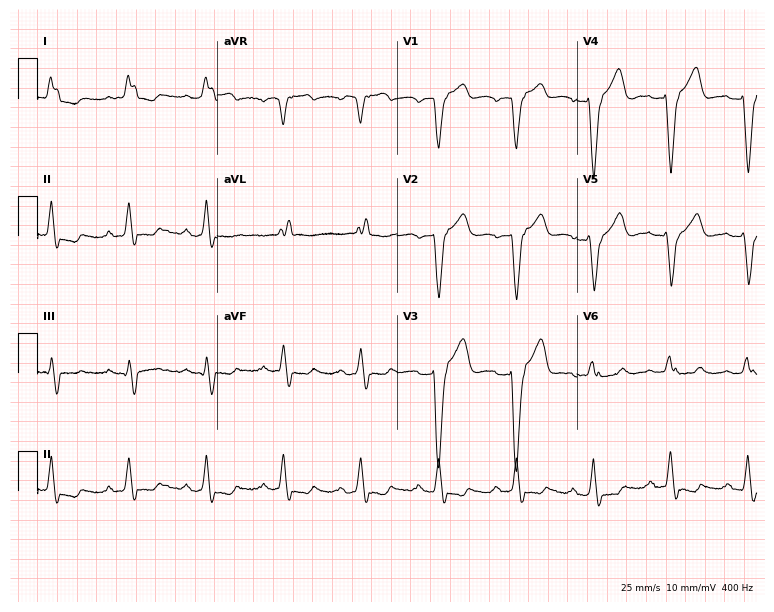
12-lead ECG (7.3-second recording at 400 Hz) from a man, 79 years old. Findings include left bundle branch block.